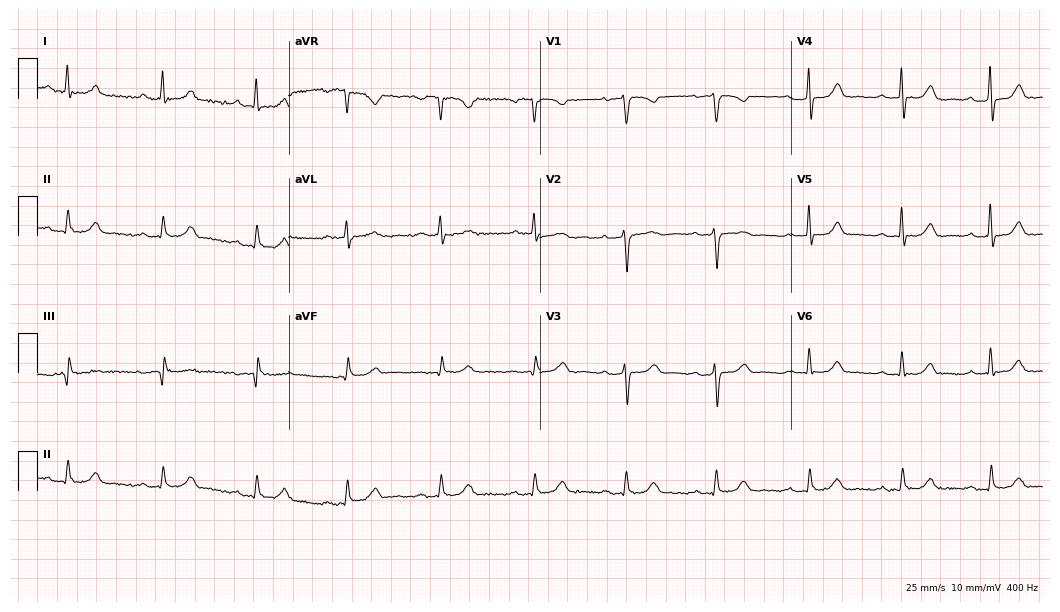
Resting 12-lead electrocardiogram. Patient: a 56-year-old female. The tracing shows first-degree AV block.